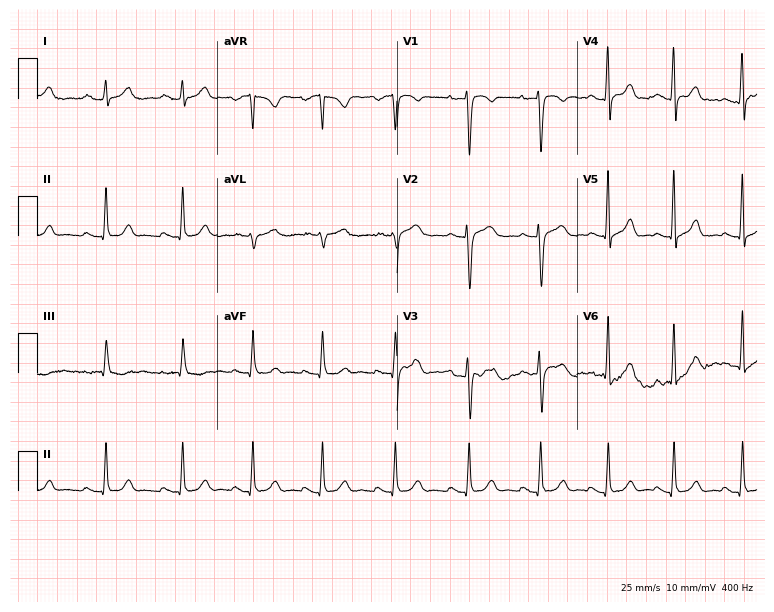
ECG (7.3-second recording at 400 Hz) — a 22-year-old female. Labelled as a normal ECG.